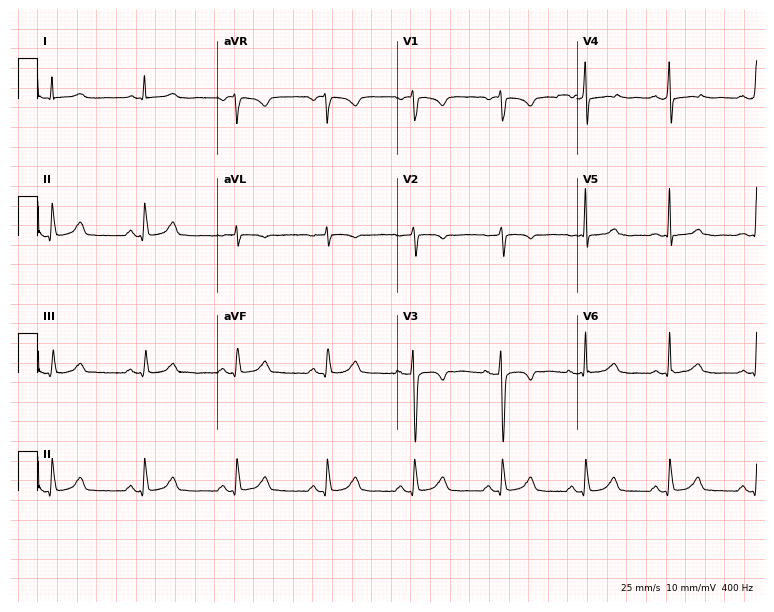
12-lead ECG from a 32-year-old female. No first-degree AV block, right bundle branch block, left bundle branch block, sinus bradycardia, atrial fibrillation or sinus tachycardia recorded for this tracing. Other findings, if any, are not listed.